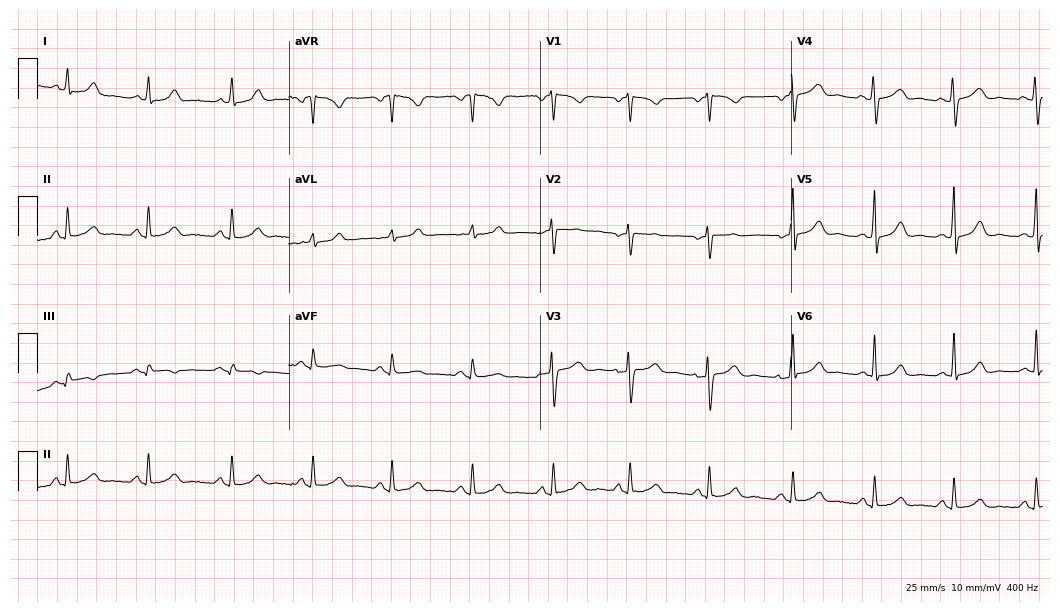
Resting 12-lead electrocardiogram. Patient: a woman, 37 years old. None of these six findings is recorded: first-degree AV block, right bundle branch block, left bundle branch block, sinus bradycardia, atrial fibrillation, sinus tachycardia.